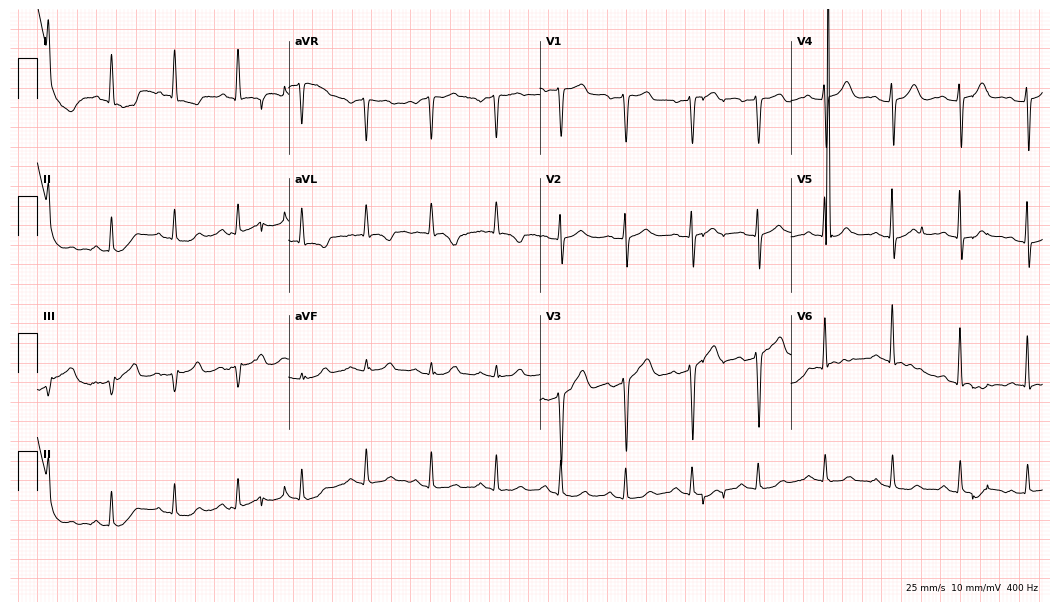
Electrocardiogram (10.2-second recording at 400 Hz), a male, 65 years old. Of the six screened findings (first-degree AV block, right bundle branch block (RBBB), left bundle branch block (LBBB), sinus bradycardia, atrial fibrillation (AF), sinus tachycardia), none is recorded.